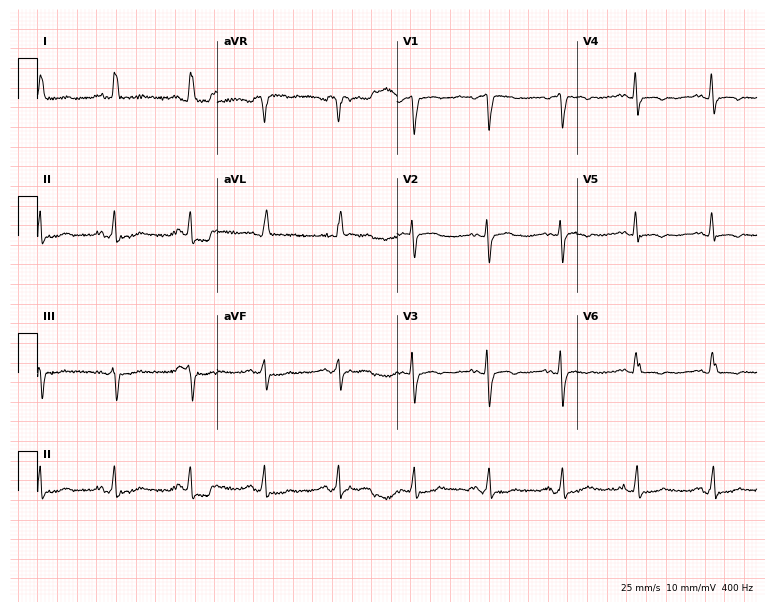
12-lead ECG from a female patient, 81 years old. No first-degree AV block, right bundle branch block, left bundle branch block, sinus bradycardia, atrial fibrillation or sinus tachycardia recorded for this tracing.